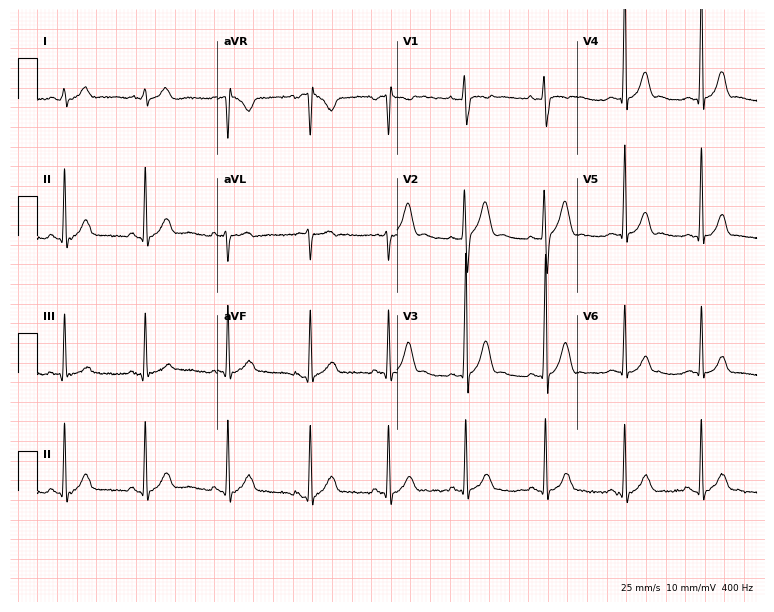
Electrocardiogram, a man, 18 years old. Overall reading on record: normal ECG.